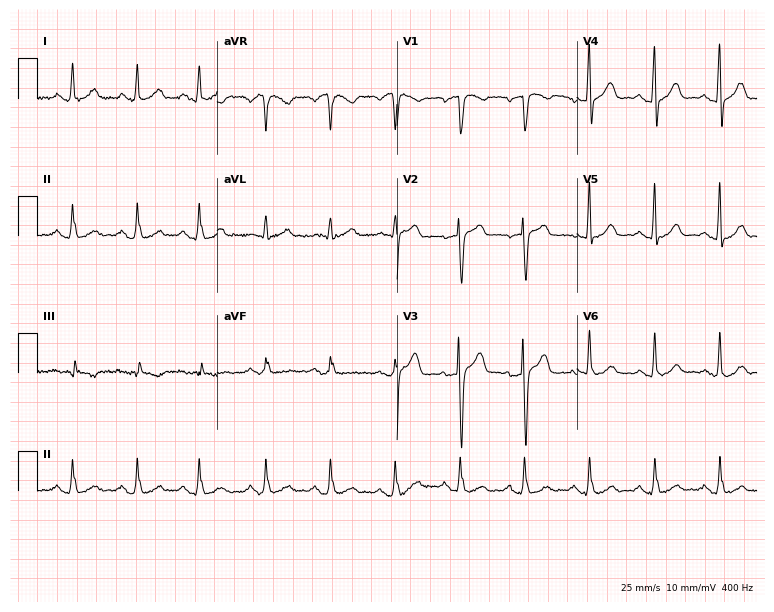
Electrocardiogram, a 70-year-old man. Of the six screened findings (first-degree AV block, right bundle branch block, left bundle branch block, sinus bradycardia, atrial fibrillation, sinus tachycardia), none is recorded. Findings outside these six are not listed.